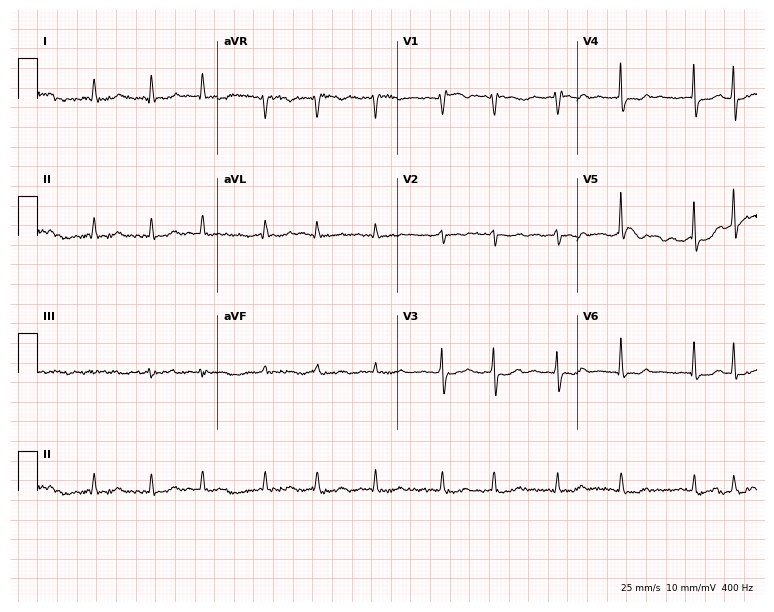
Standard 12-lead ECG recorded from a 69-year-old female patient (7.3-second recording at 400 Hz). The tracing shows atrial fibrillation.